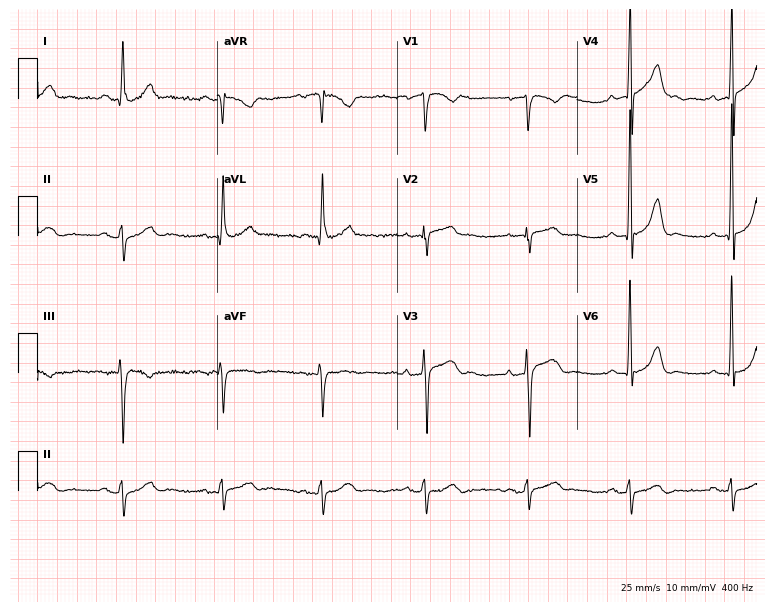
Standard 12-lead ECG recorded from a 70-year-old male patient (7.3-second recording at 400 Hz). None of these six findings is recorded: first-degree AV block, right bundle branch block, left bundle branch block, sinus bradycardia, atrial fibrillation, sinus tachycardia.